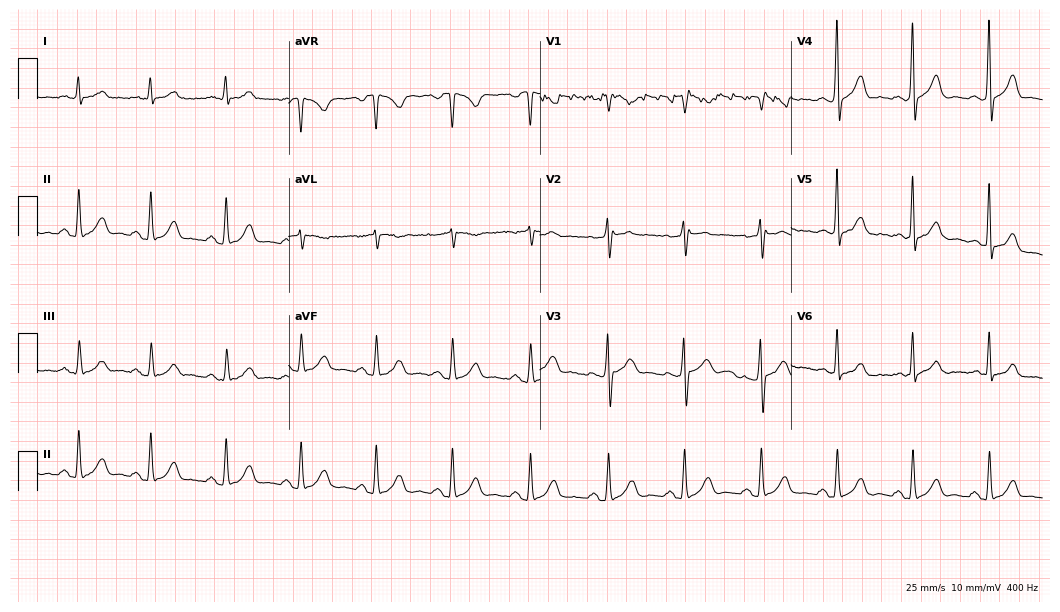
Resting 12-lead electrocardiogram. Patient: a man, 57 years old. Read as a normal ECG.